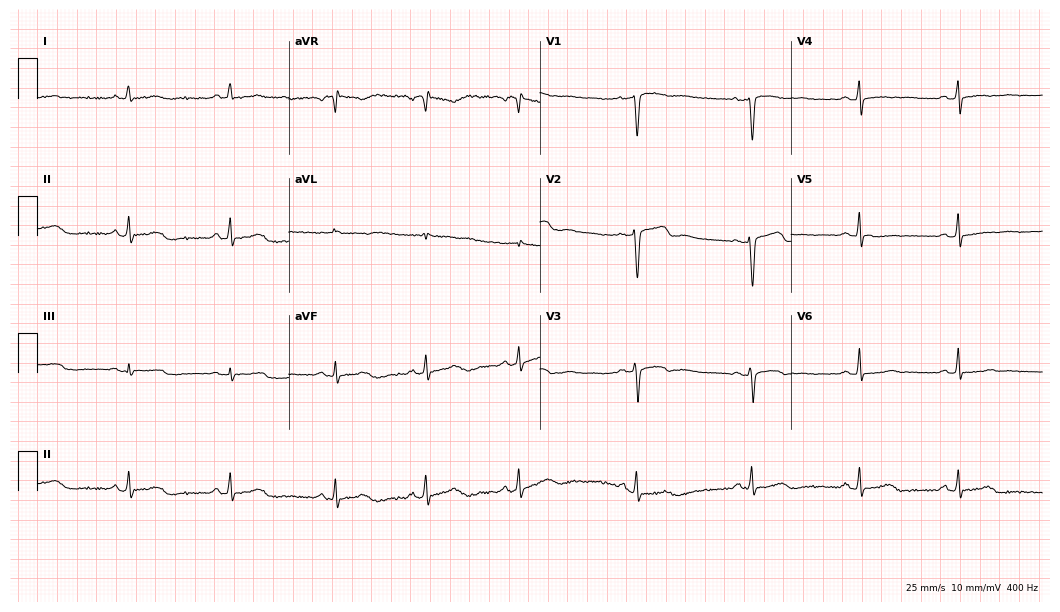
12-lead ECG from a 43-year-old female patient. Recorded interpretation: within normal limits.